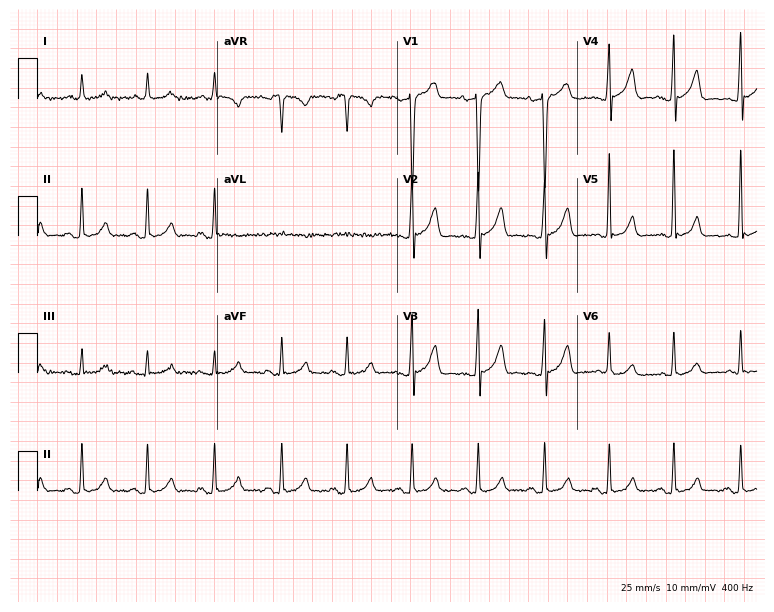
ECG — a man, 68 years old. Labelled as a normal ECG.